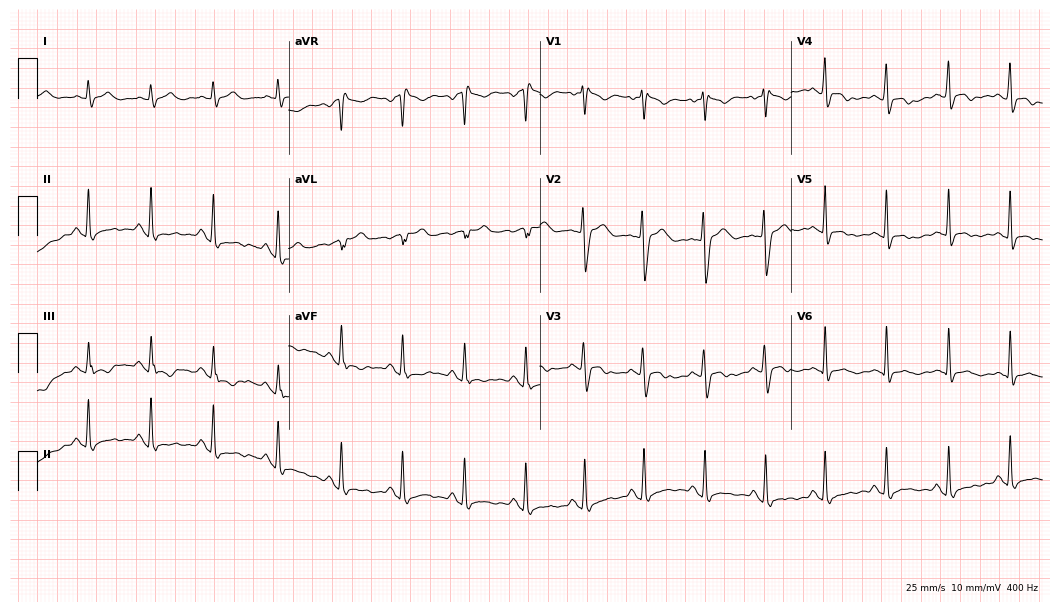
ECG — a 28-year-old female. Screened for six findings — first-degree AV block, right bundle branch block (RBBB), left bundle branch block (LBBB), sinus bradycardia, atrial fibrillation (AF), sinus tachycardia — none is recorded.